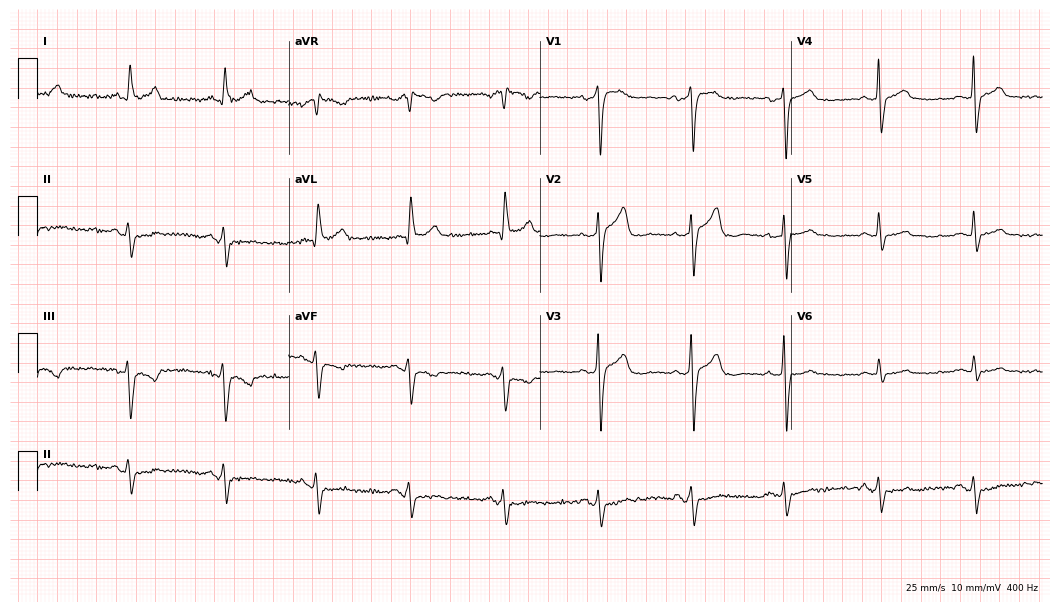
12-lead ECG from a man, 78 years old. Screened for six findings — first-degree AV block, right bundle branch block (RBBB), left bundle branch block (LBBB), sinus bradycardia, atrial fibrillation (AF), sinus tachycardia — none is recorded.